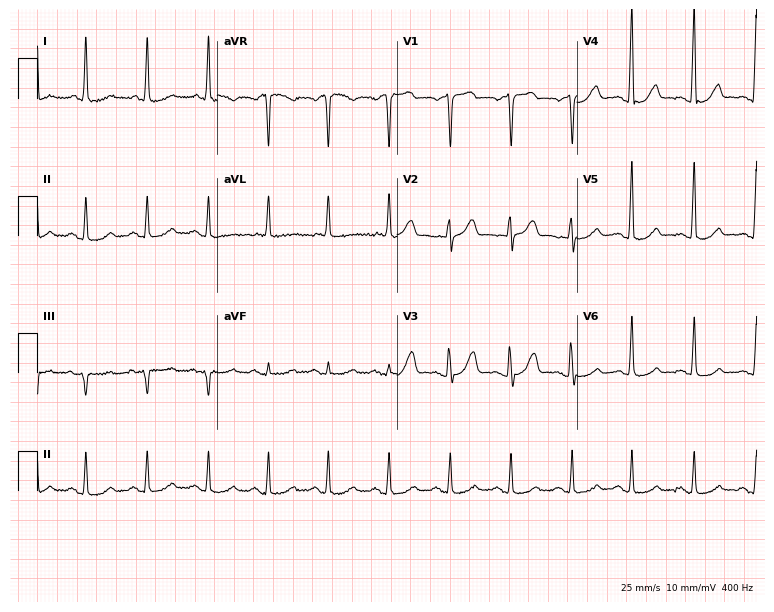
Electrocardiogram (7.3-second recording at 400 Hz), a 73-year-old female. Overall reading on record: normal ECG.